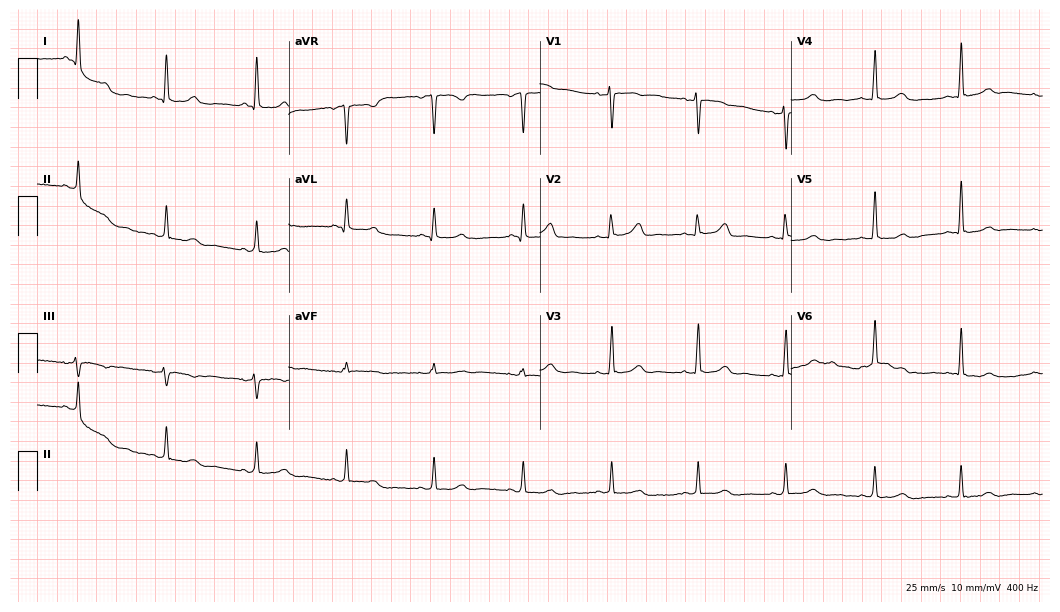
12-lead ECG from a 79-year-old woman. Labelled as a normal ECG.